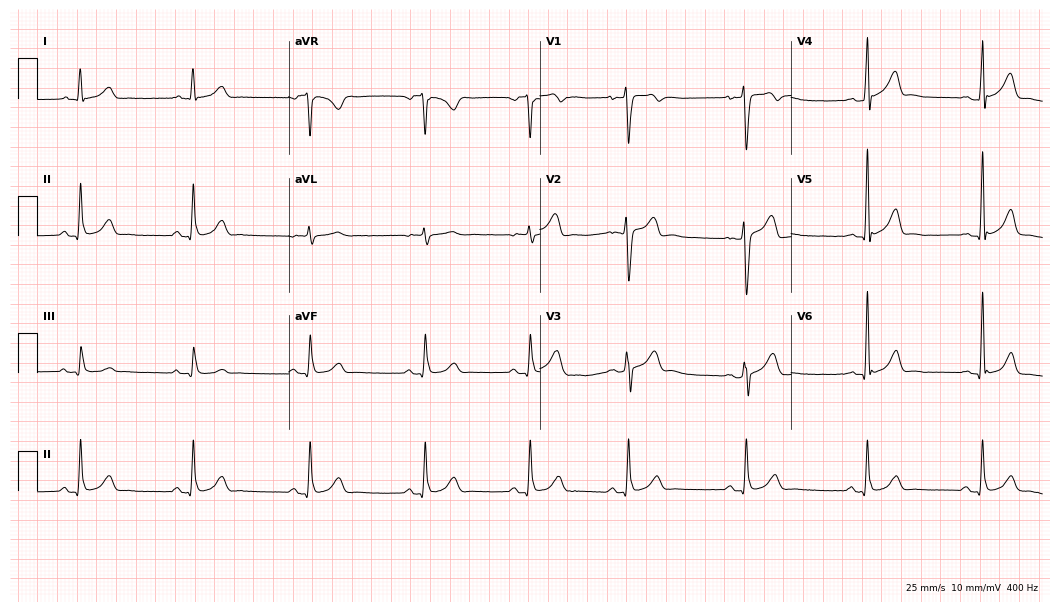
12-lead ECG from a 24-year-old male. Screened for six findings — first-degree AV block, right bundle branch block, left bundle branch block, sinus bradycardia, atrial fibrillation, sinus tachycardia — none is recorded. Other findings, if any, are not listed.